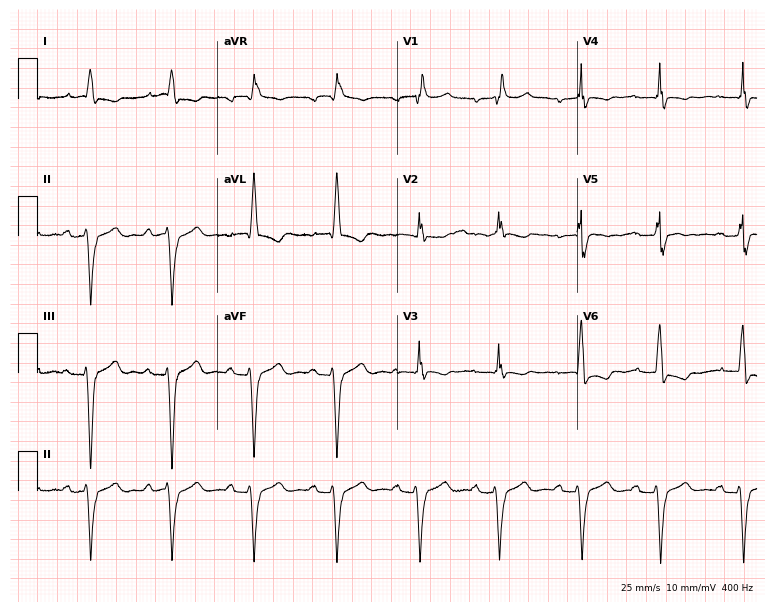
12-lead ECG from an 80-year-old male. Findings include right bundle branch block.